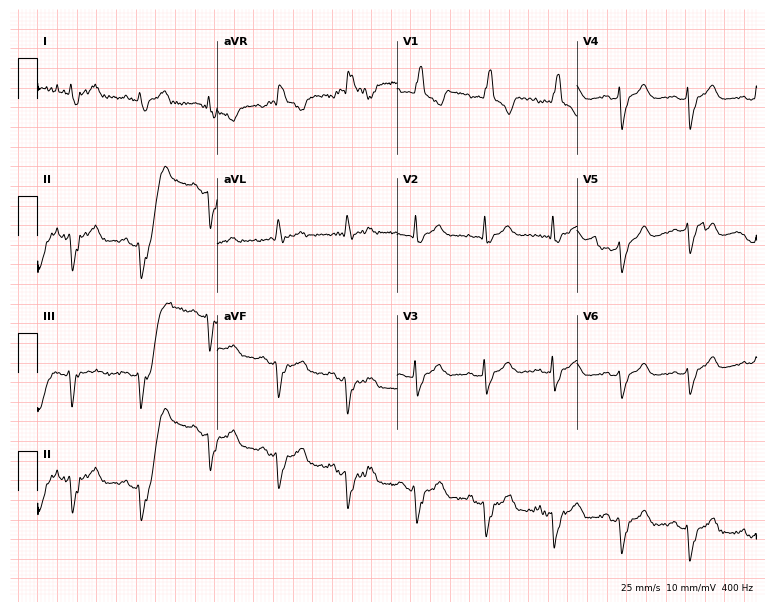
12-lead ECG from a man, 63 years old. Shows right bundle branch block.